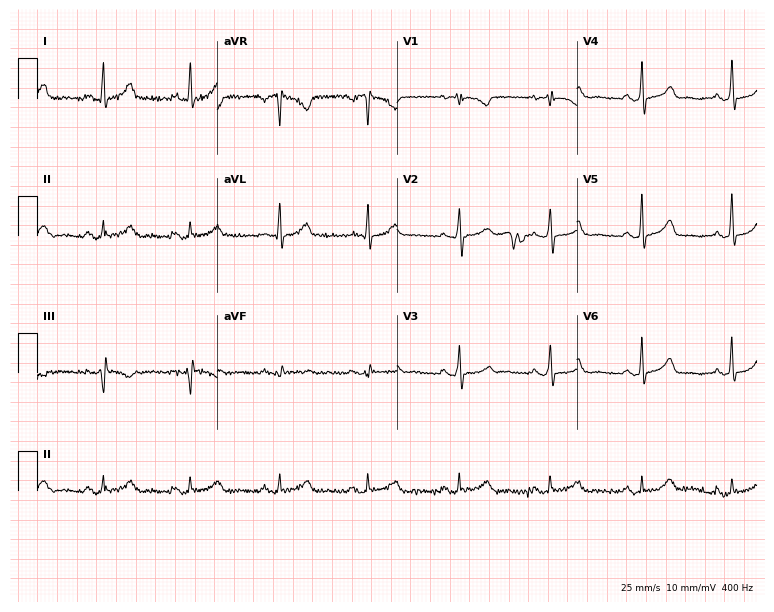
Standard 12-lead ECG recorded from a woman, 60 years old (7.3-second recording at 400 Hz). Read as a normal ECG.